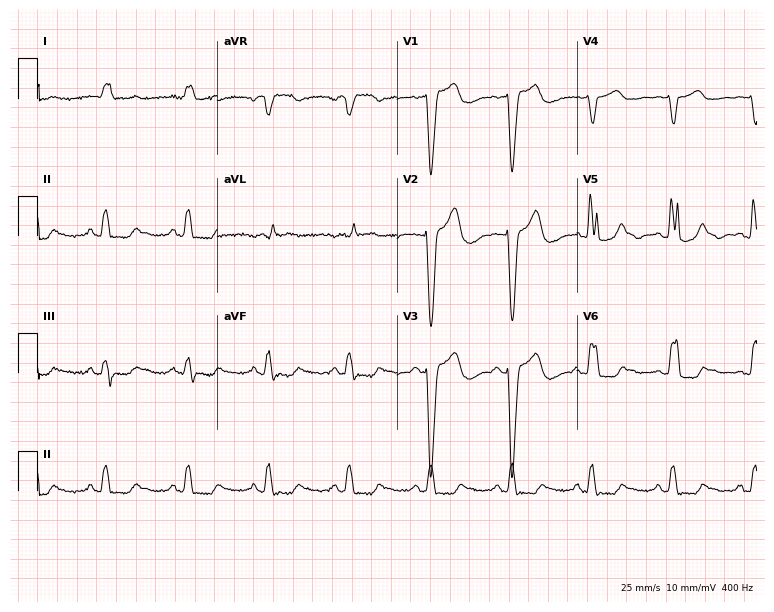
Standard 12-lead ECG recorded from a female, 73 years old. The tracing shows left bundle branch block (LBBB).